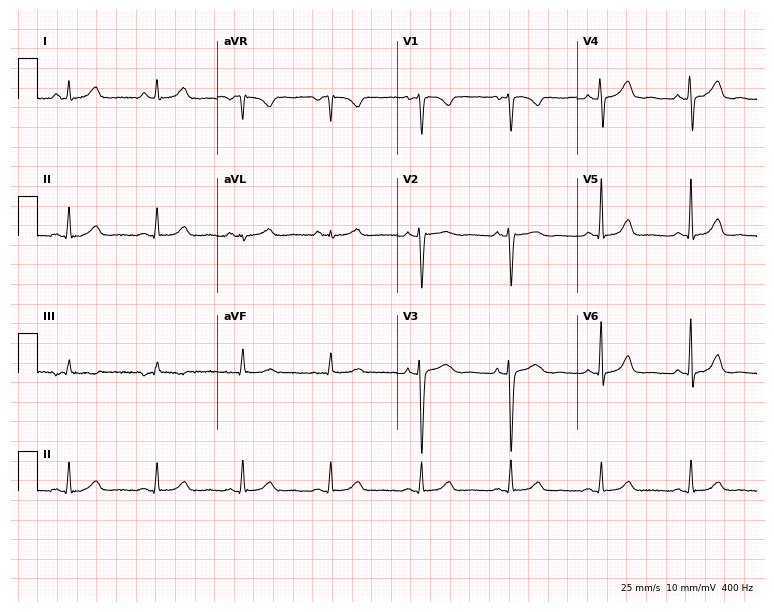
ECG — a 45-year-old woman. Labelled as a normal ECG.